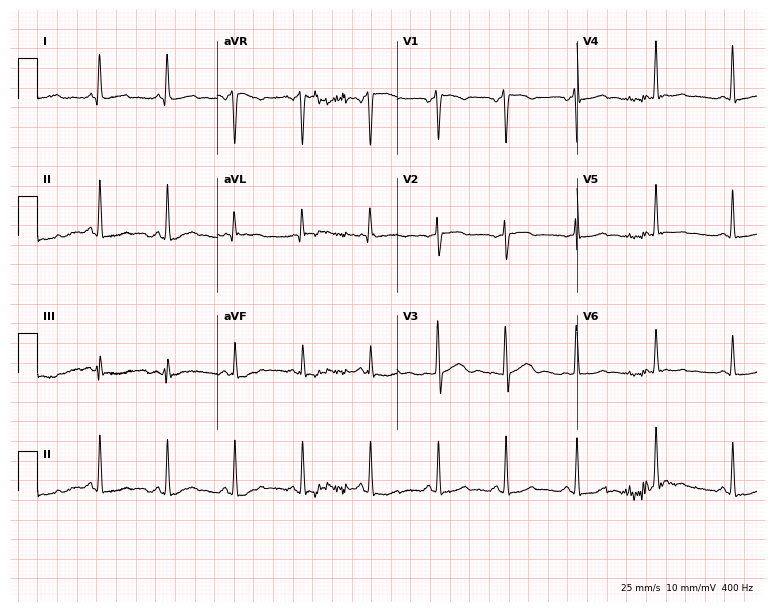
12-lead ECG (7.3-second recording at 400 Hz) from a female patient, 36 years old. Screened for six findings — first-degree AV block, right bundle branch block, left bundle branch block, sinus bradycardia, atrial fibrillation, sinus tachycardia — none is recorded. Only these six findings were labelled.